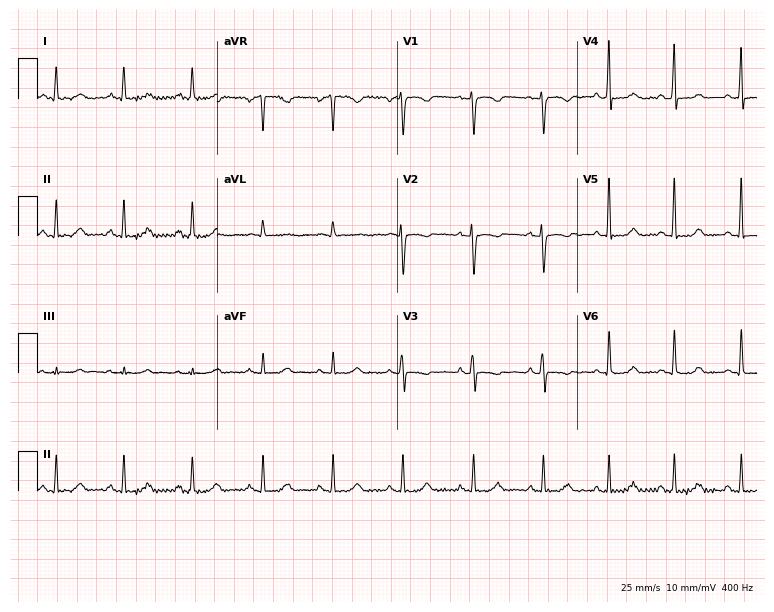
12-lead ECG from a 23-year-old female patient. No first-degree AV block, right bundle branch block (RBBB), left bundle branch block (LBBB), sinus bradycardia, atrial fibrillation (AF) or sinus tachycardia recorded for this tracing.